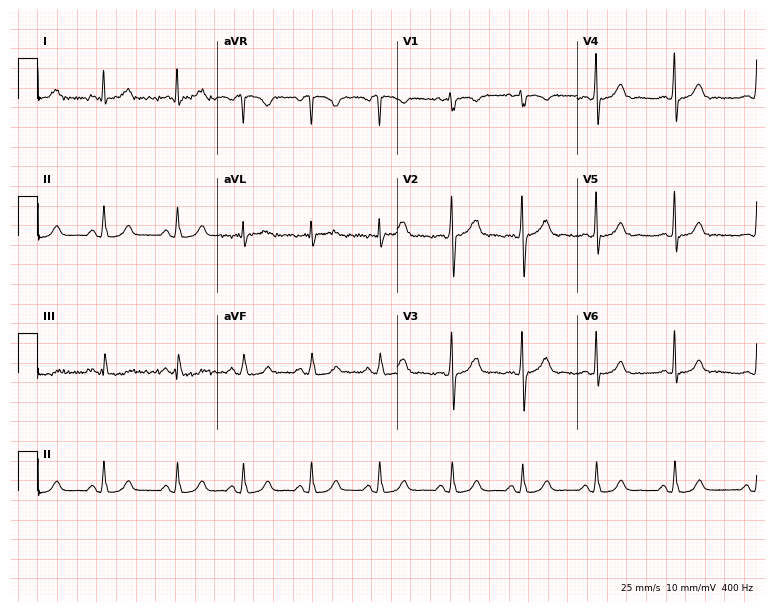
Electrocardiogram, a female patient, 29 years old. Of the six screened findings (first-degree AV block, right bundle branch block (RBBB), left bundle branch block (LBBB), sinus bradycardia, atrial fibrillation (AF), sinus tachycardia), none is recorded.